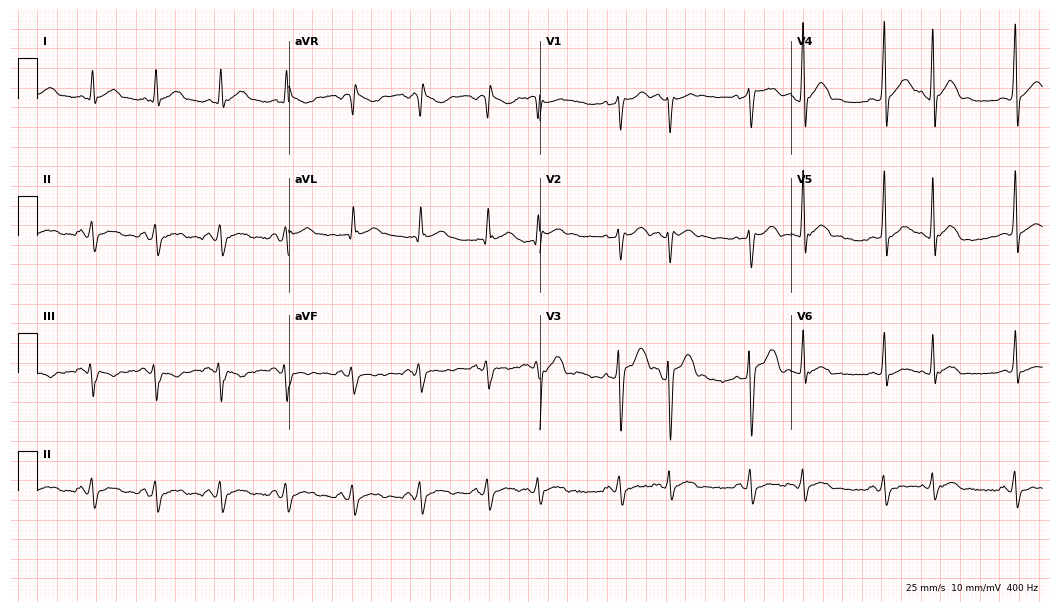
Resting 12-lead electrocardiogram. Patient: a male, 35 years old. None of these six findings is recorded: first-degree AV block, right bundle branch block, left bundle branch block, sinus bradycardia, atrial fibrillation, sinus tachycardia.